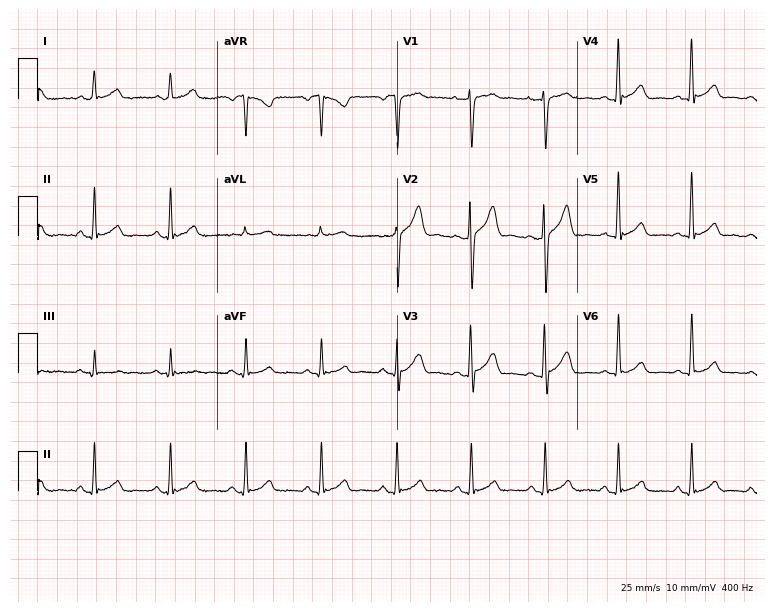
ECG (7.3-second recording at 400 Hz) — a male patient, 34 years old. Labelled as a normal ECG.